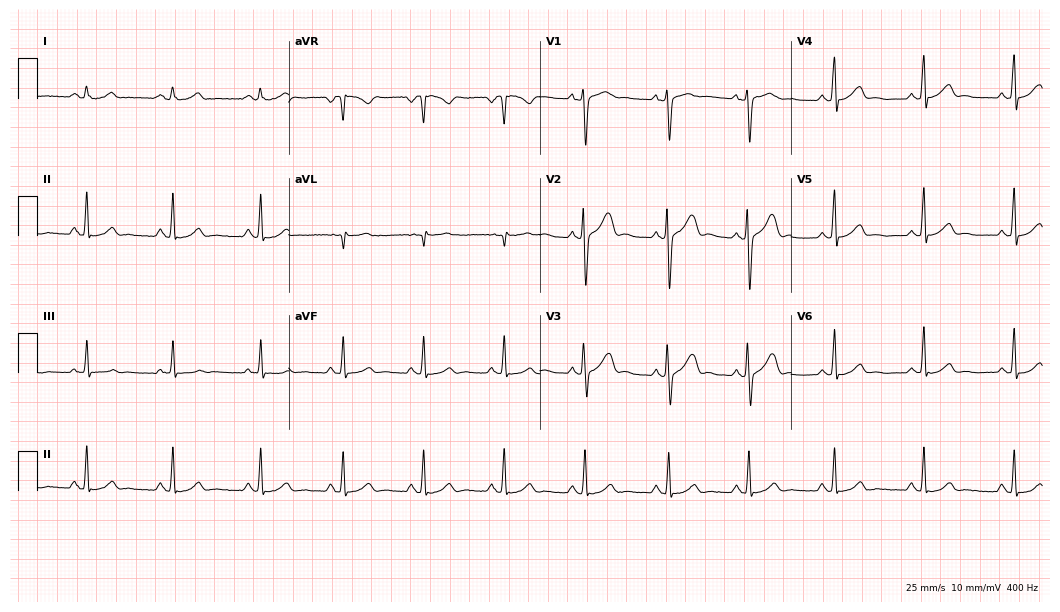
12-lead ECG (10.2-second recording at 400 Hz) from a male, 32 years old. Labelled as a normal ECG.